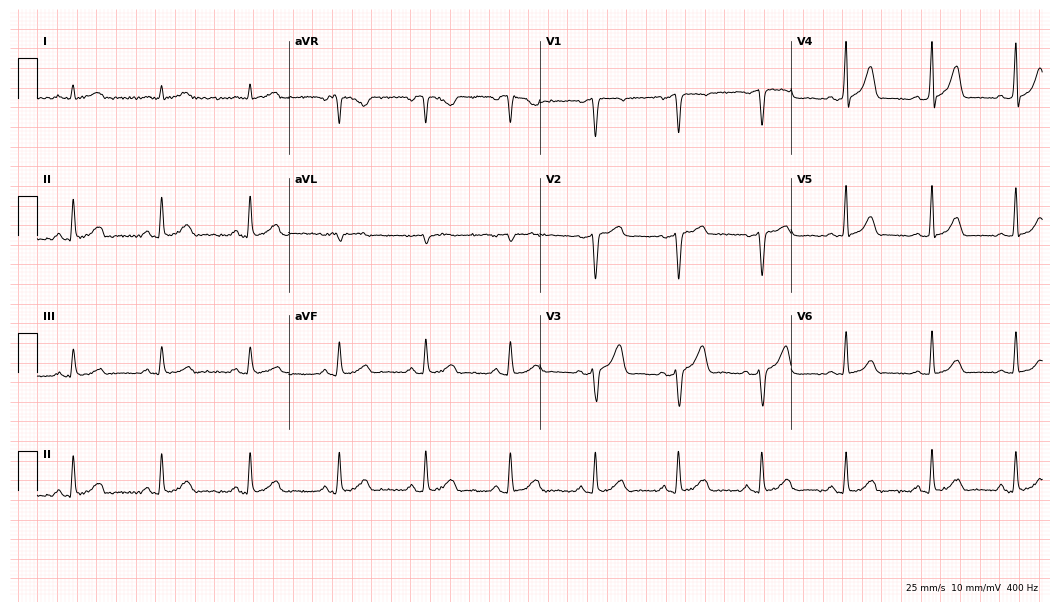
ECG (10.2-second recording at 400 Hz) — a 60-year-old male. Screened for six findings — first-degree AV block, right bundle branch block (RBBB), left bundle branch block (LBBB), sinus bradycardia, atrial fibrillation (AF), sinus tachycardia — none is recorded.